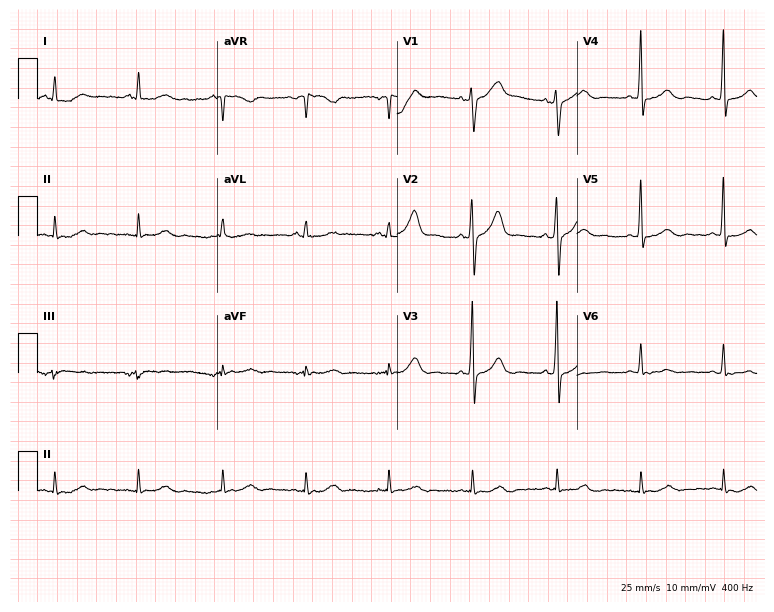
ECG — a male patient, 62 years old. Screened for six findings — first-degree AV block, right bundle branch block, left bundle branch block, sinus bradycardia, atrial fibrillation, sinus tachycardia — none is recorded.